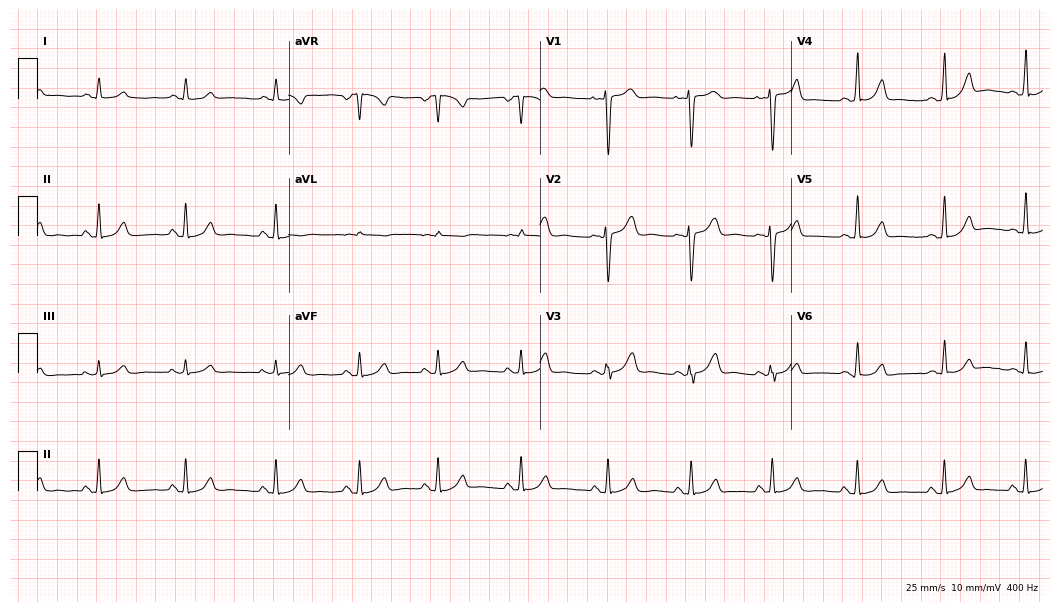
Electrocardiogram, a female patient, 27 years old. Overall reading on record: normal ECG.